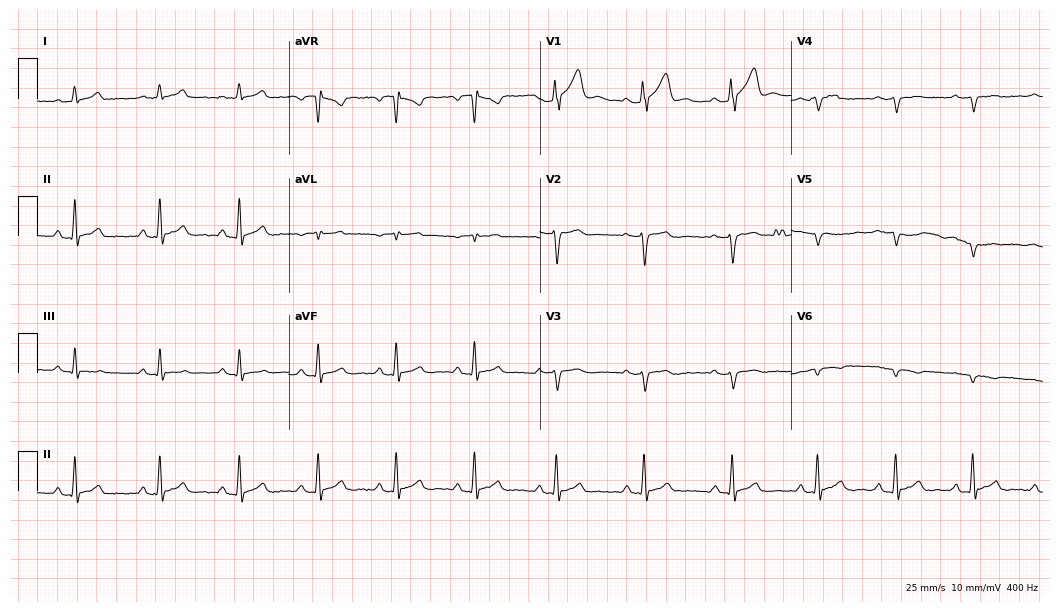
Resting 12-lead electrocardiogram (10.2-second recording at 400 Hz). Patient: a male, 22 years old. None of these six findings is recorded: first-degree AV block, right bundle branch block (RBBB), left bundle branch block (LBBB), sinus bradycardia, atrial fibrillation (AF), sinus tachycardia. Findings outside these six are not listed.